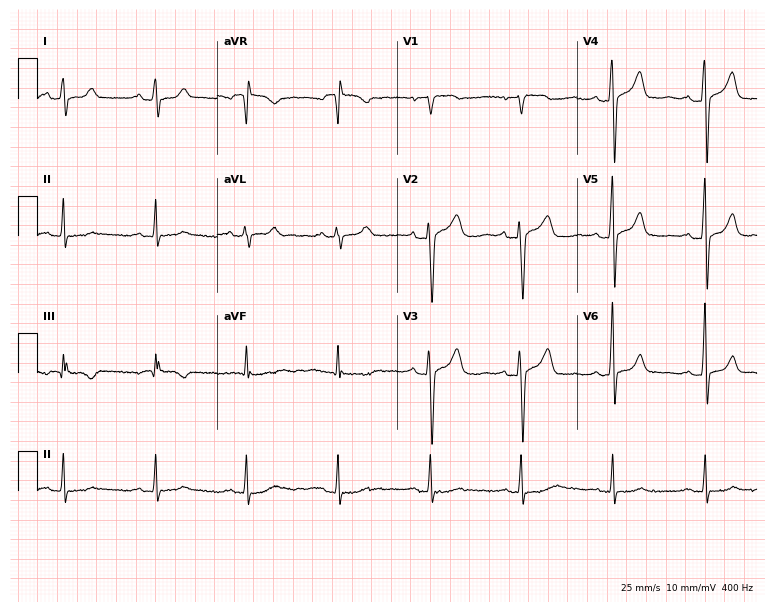
Resting 12-lead electrocardiogram. Patient: a 33-year-old male. Read as a normal ECG.